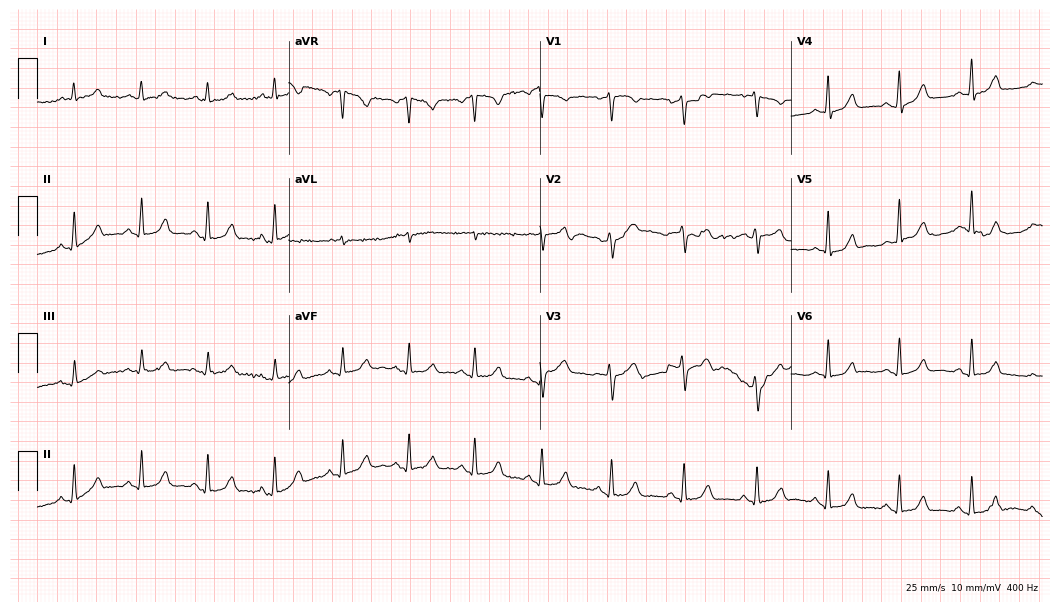
ECG — a female, 48 years old. Labelled as a normal ECG.